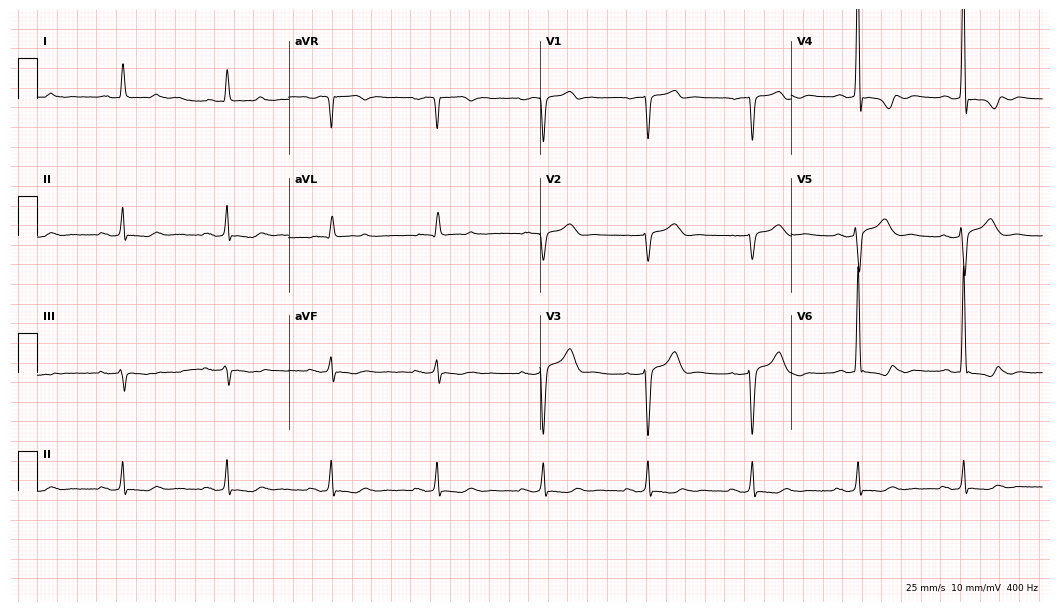
Standard 12-lead ECG recorded from a 61-year-old male. None of these six findings is recorded: first-degree AV block, right bundle branch block, left bundle branch block, sinus bradycardia, atrial fibrillation, sinus tachycardia. Other findings, if any, are not listed.